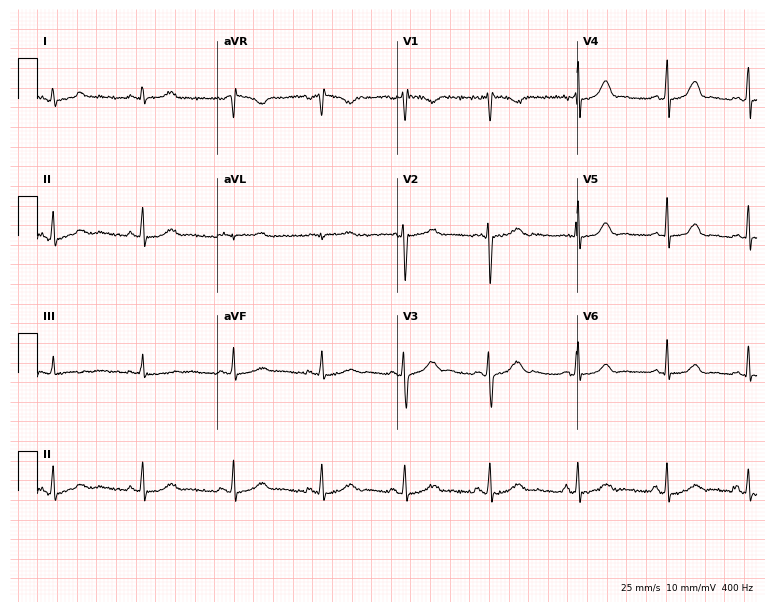
12-lead ECG (7.3-second recording at 400 Hz) from a woman, 18 years old. Screened for six findings — first-degree AV block, right bundle branch block, left bundle branch block, sinus bradycardia, atrial fibrillation, sinus tachycardia — none is recorded.